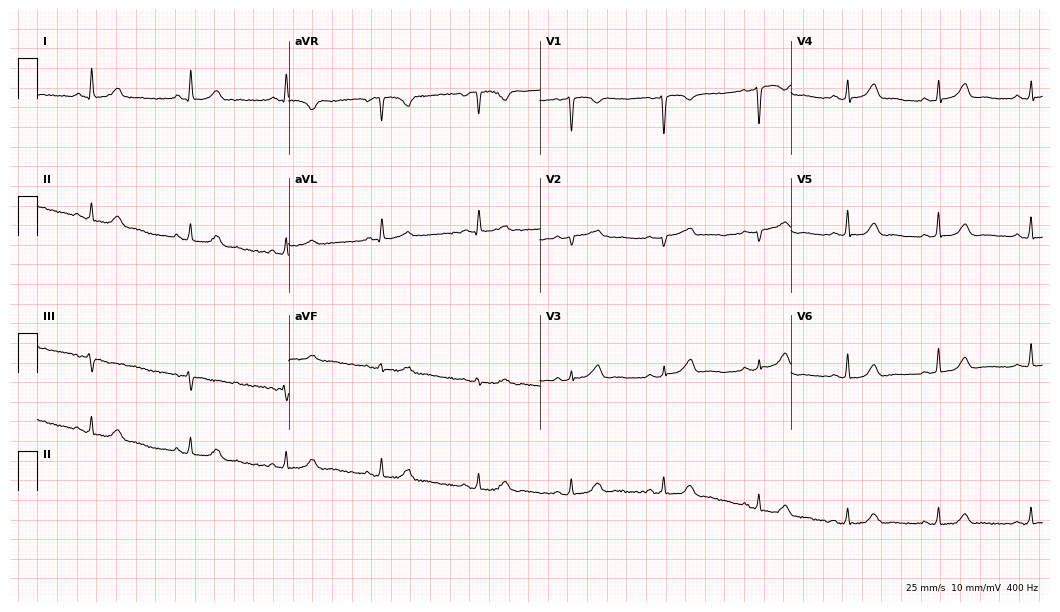
Resting 12-lead electrocardiogram. Patient: a female, 39 years old. Read as a normal ECG.